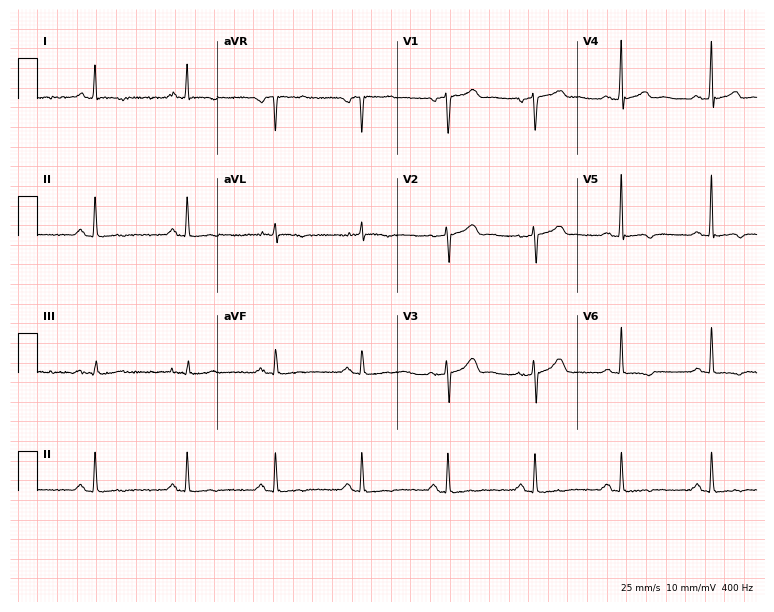
Electrocardiogram, a man, 50 years old. Of the six screened findings (first-degree AV block, right bundle branch block, left bundle branch block, sinus bradycardia, atrial fibrillation, sinus tachycardia), none is recorded. Findings outside these six are not listed.